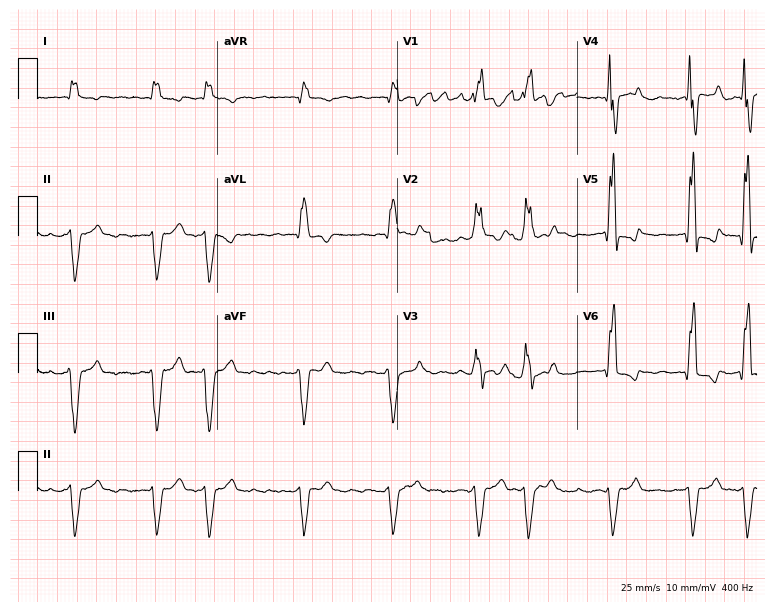
12-lead ECG from a male patient, 79 years old. Shows right bundle branch block, atrial fibrillation.